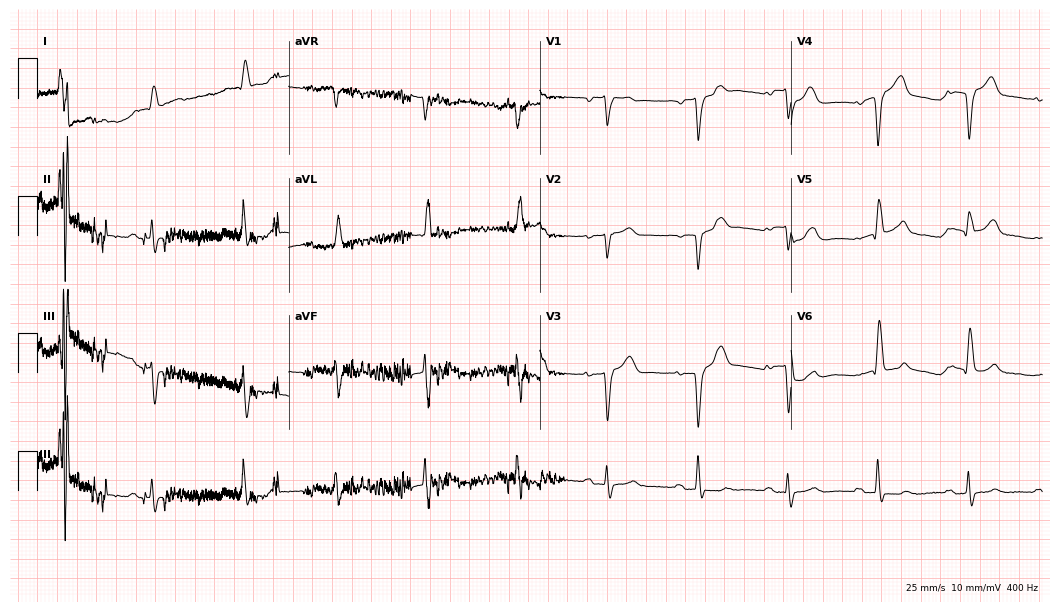
Electrocardiogram (10.2-second recording at 400 Hz), a male, 80 years old. Interpretation includes first-degree AV block.